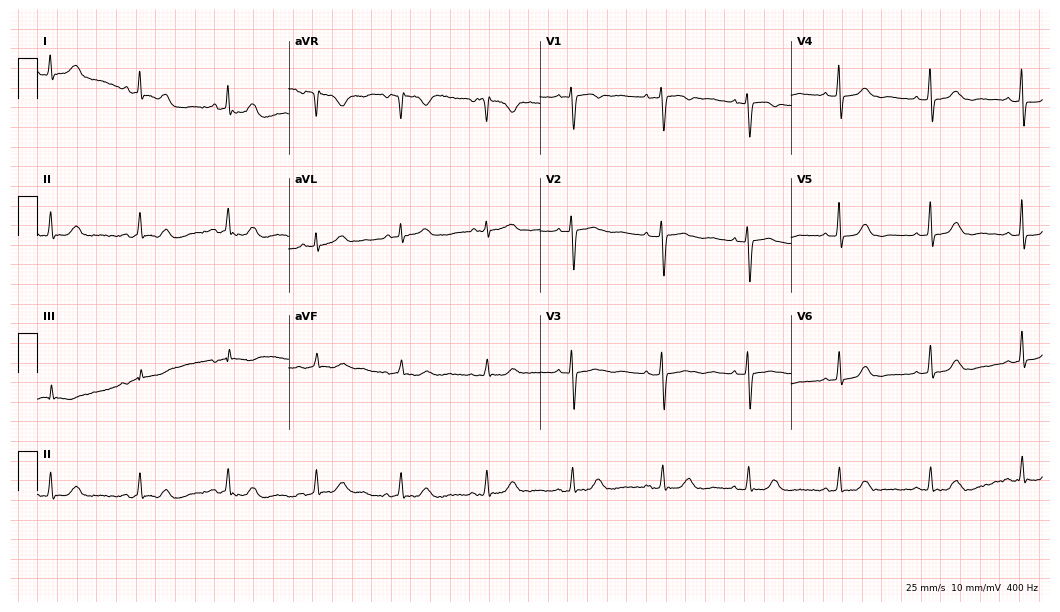
Electrocardiogram, a 74-year-old female patient. Overall reading on record: normal ECG.